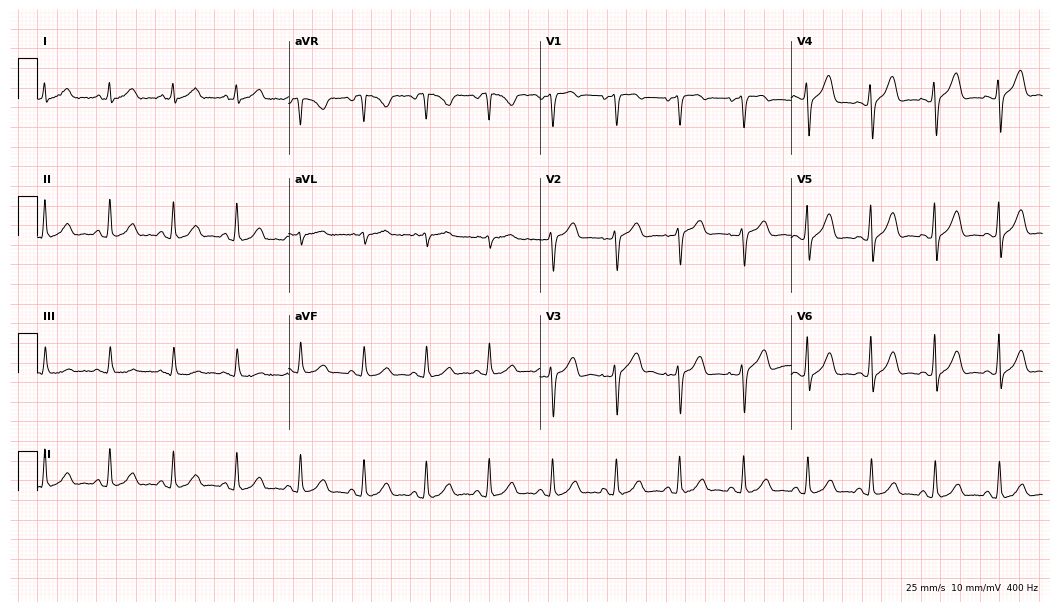
12-lead ECG from a 53-year-old female patient (10.2-second recording at 400 Hz). Recorded interpretation: within normal limits.